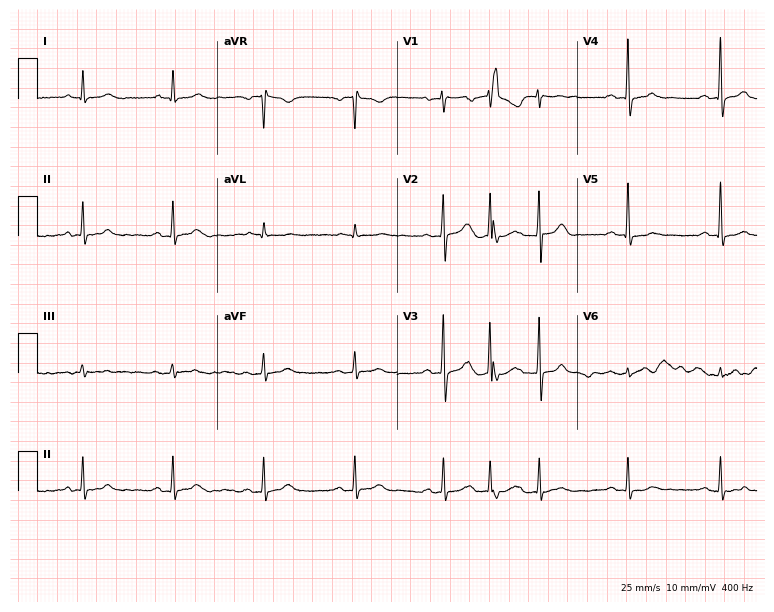
12-lead ECG from a man, 63 years old. Screened for six findings — first-degree AV block, right bundle branch block, left bundle branch block, sinus bradycardia, atrial fibrillation, sinus tachycardia — none is recorded.